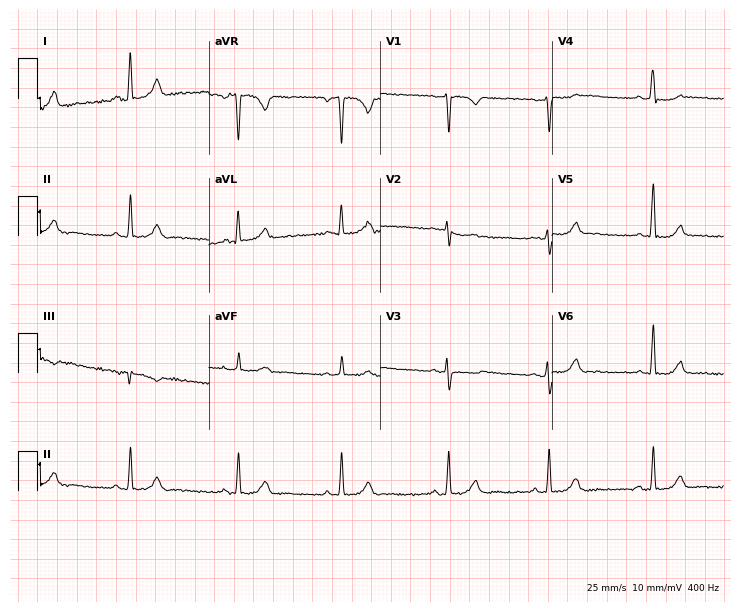
12-lead ECG (7-second recording at 400 Hz) from a 41-year-old female. Screened for six findings — first-degree AV block, right bundle branch block, left bundle branch block, sinus bradycardia, atrial fibrillation, sinus tachycardia — none is recorded.